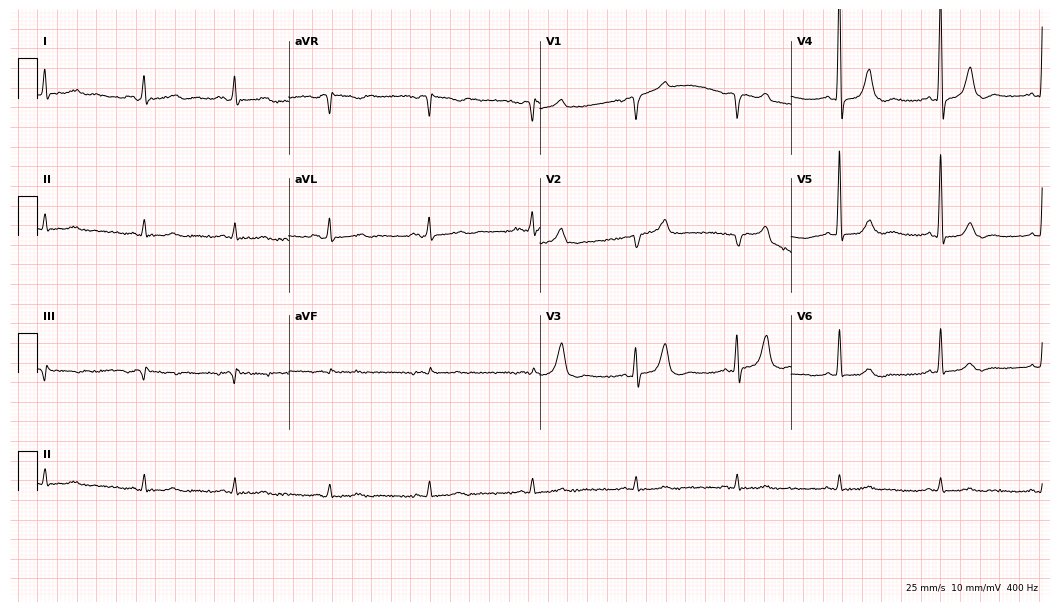
Electrocardiogram, a male patient, 81 years old. Overall reading on record: normal ECG.